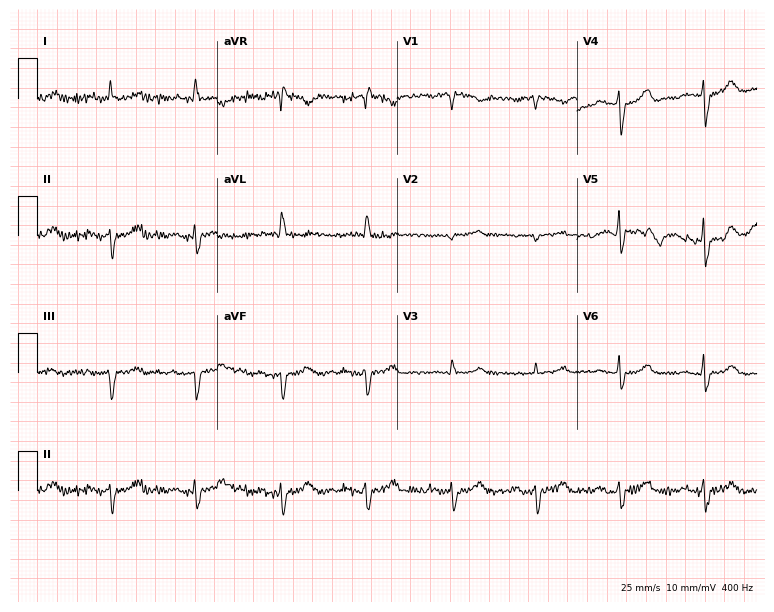
Electrocardiogram (7.3-second recording at 400 Hz), a male, 77 years old. Of the six screened findings (first-degree AV block, right bundle branch block, left bundle branch block, sinus bradycardia, atrial fibrillation, sinus tachycardia), none is recorded.